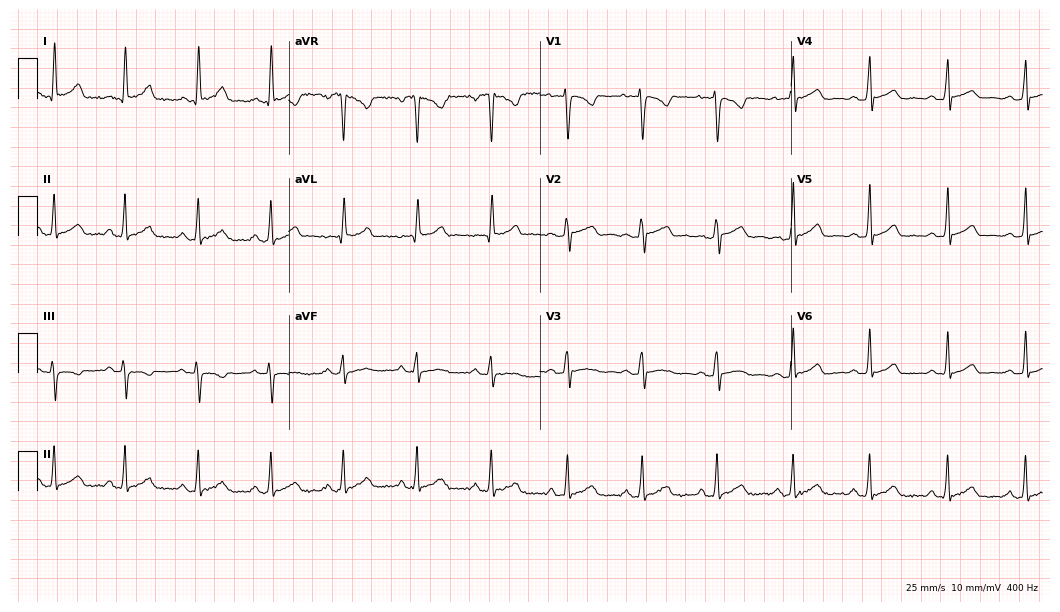
12-lead ECG from a woman, 39 years old. Labelled as a normal ECG.